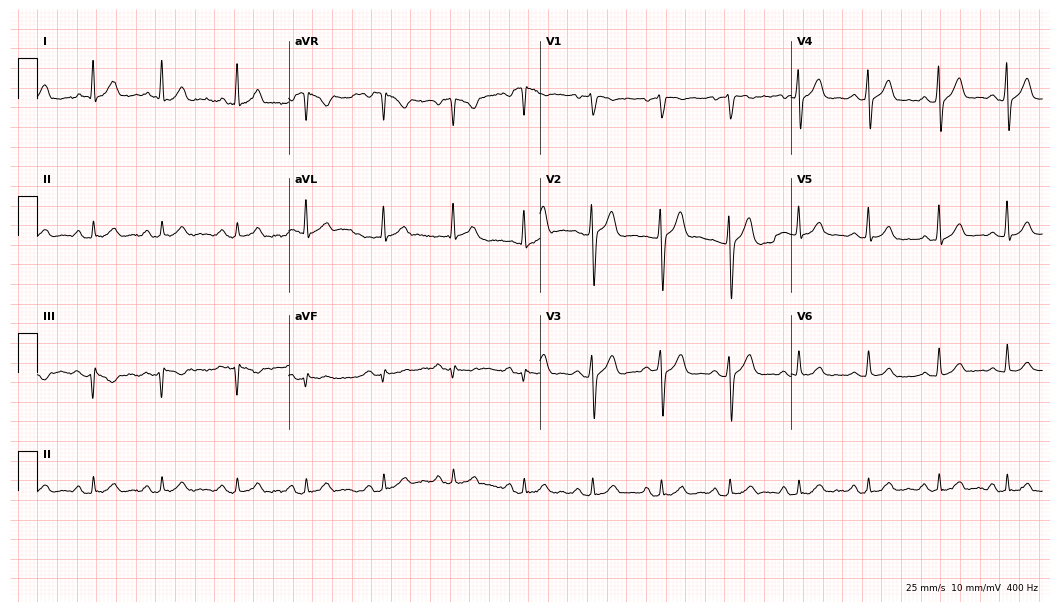
12-lead ECG from a male patient, 33 years old. Labelled as a normal ECG.